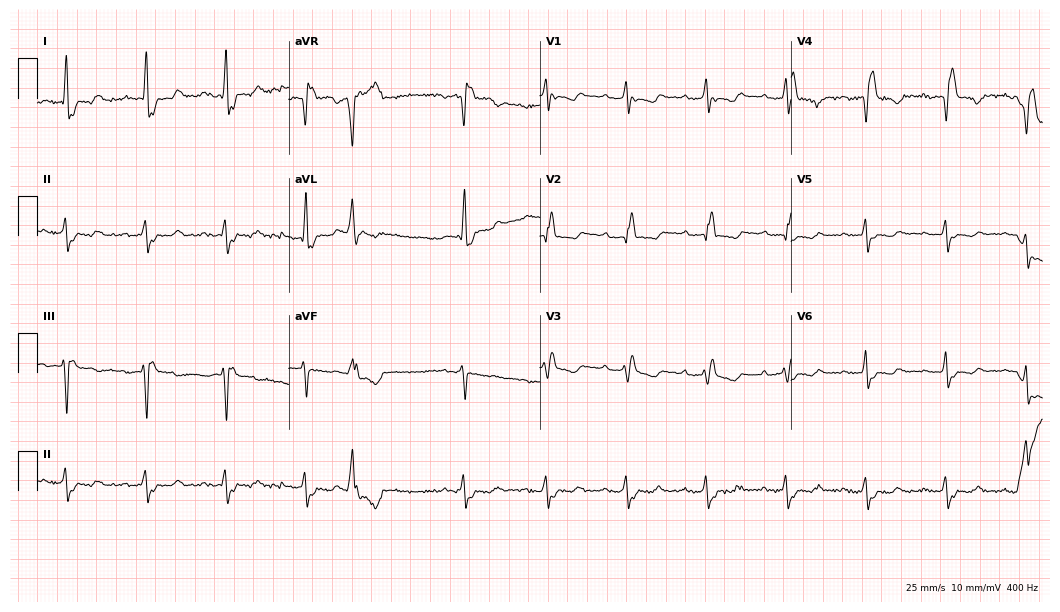
Electrocardiogram (10.2-second recording at 400 Hz), a woman, 60 years old. Of the six screened findings (first-degree AV block, right bundle branch block, left bundle branch block, sinus bradycardia, atrial fibrillation, sinus tachycardia), none is recorded. Only these six findings were labelled.